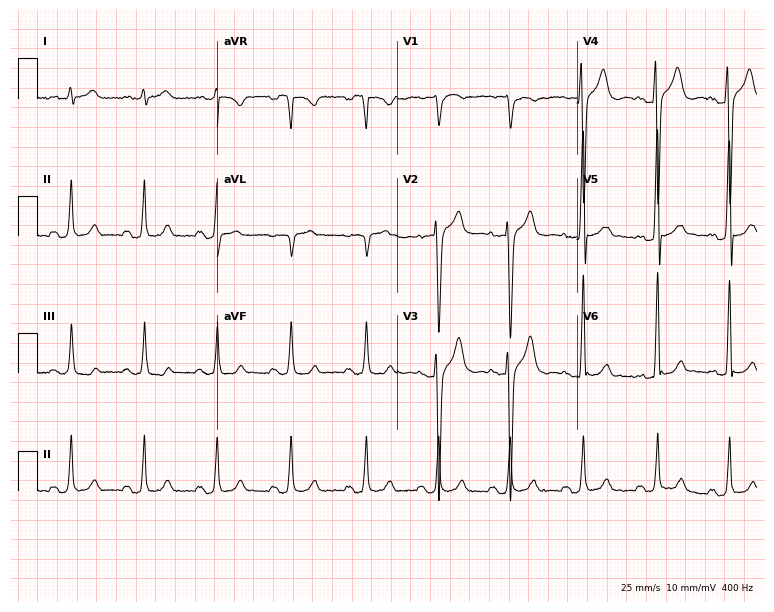
Electrocardiogram, a male patient, 47 years old. Of the six screened findings (first-degree AV block, right bundle branch block, left bundle branch block, sinus bradycardia, atrial fibrillation, sinus tachycardia), none is recorded.